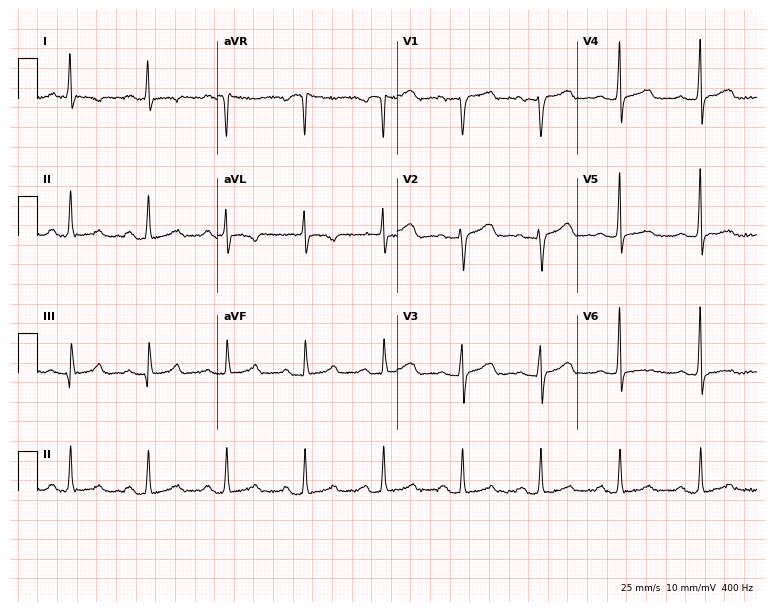
Resting 12-lead electrocardiogram (7.3-second recording at 400 Hz). Patient: a 59-year-old female. None of these six findings is recorded: first-degree AV block, right bundle branch block (RBBB), left bundle branch block (LBBB), sinus bradycardia, atrial fibrillation (AF), sinus tachycardia. Other findings, if any, are not listed.